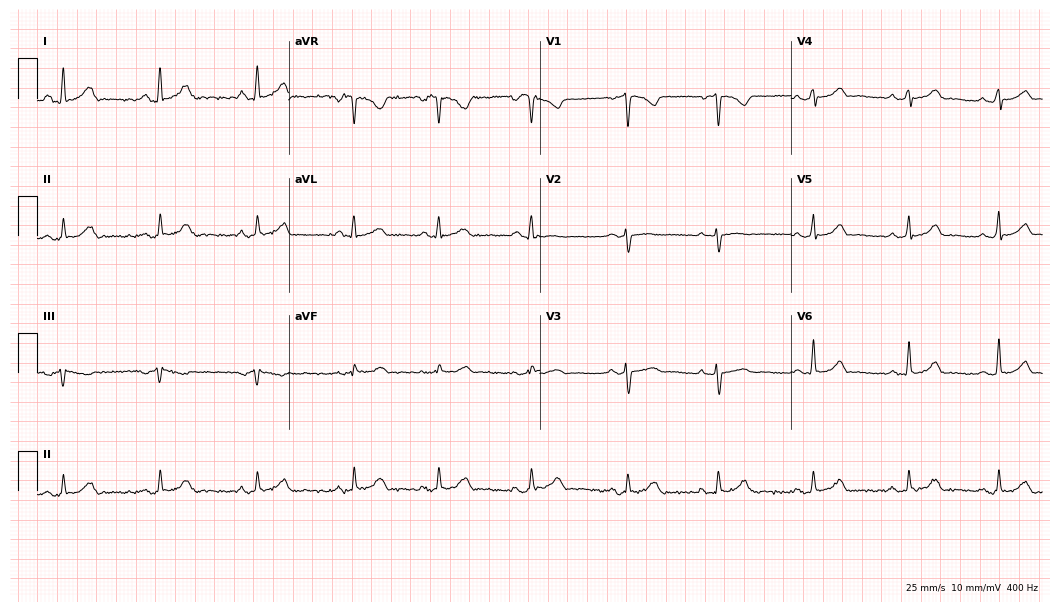
Standard 12-lead ECG recorded from a 33-year-old female. None of these six findings is recorded: first-degree AV block, right bundle branch block, left bundle branch block, sinus bradycardia, atrial fibrillation, sinus tachycardia. Other findings, if any, are not listed.